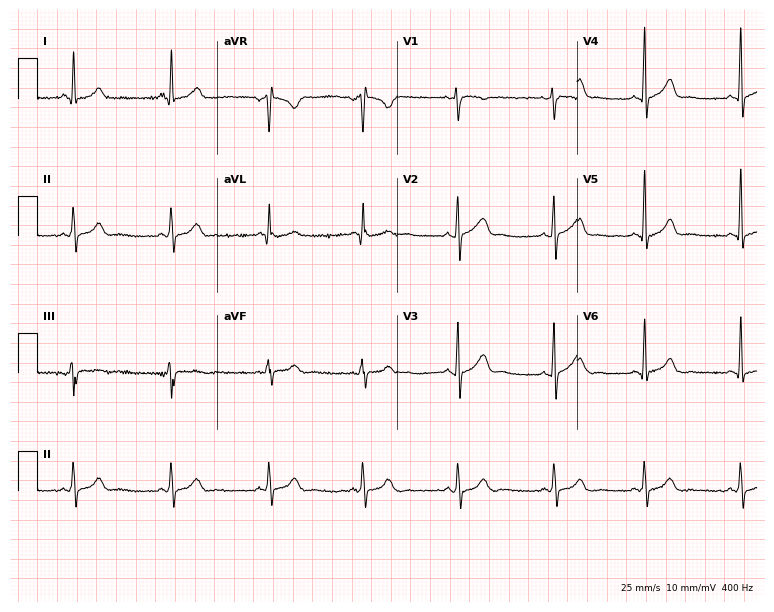
12-lead ECG from a female patient, 25 years old. Recorded interpretation: within normal limits.